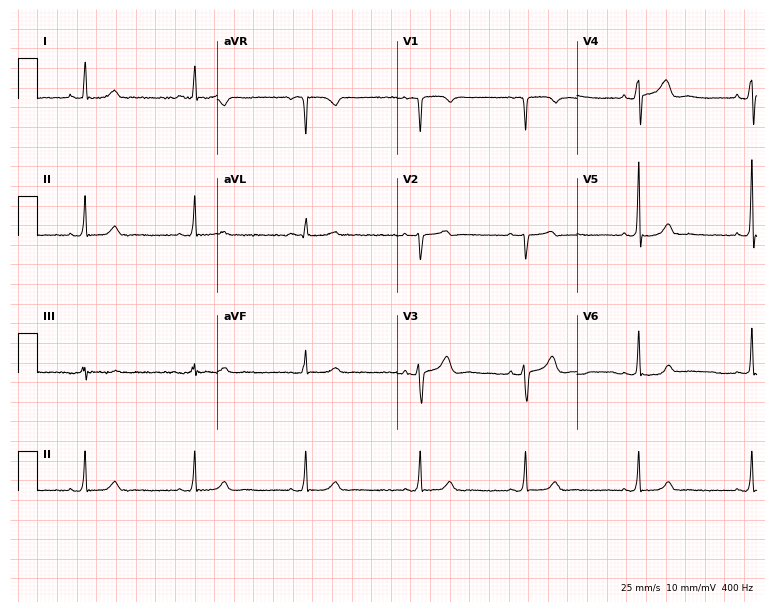
12-lead ECG from a female, 47 years old. Recorded interpretation: within normal limits.